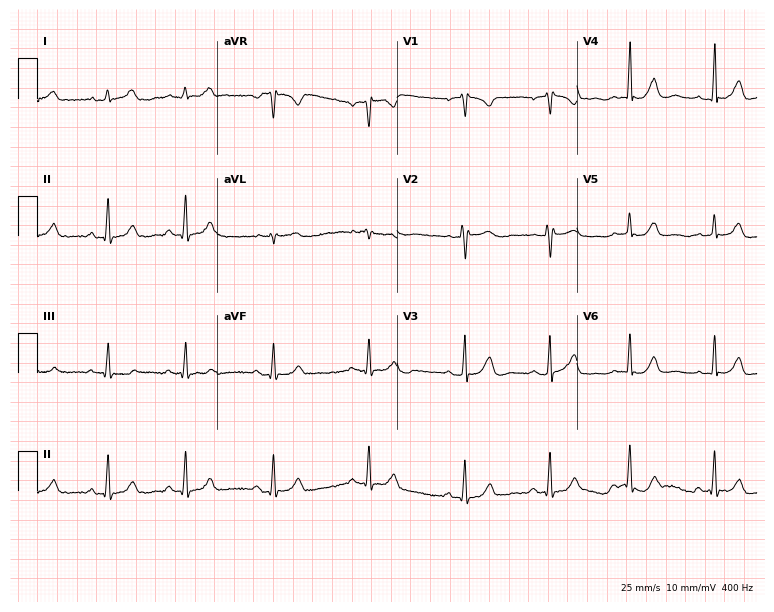
Resting 12-lead electrocardiogram. Patient: a 28-year-old woman. Read as a normal ECG.